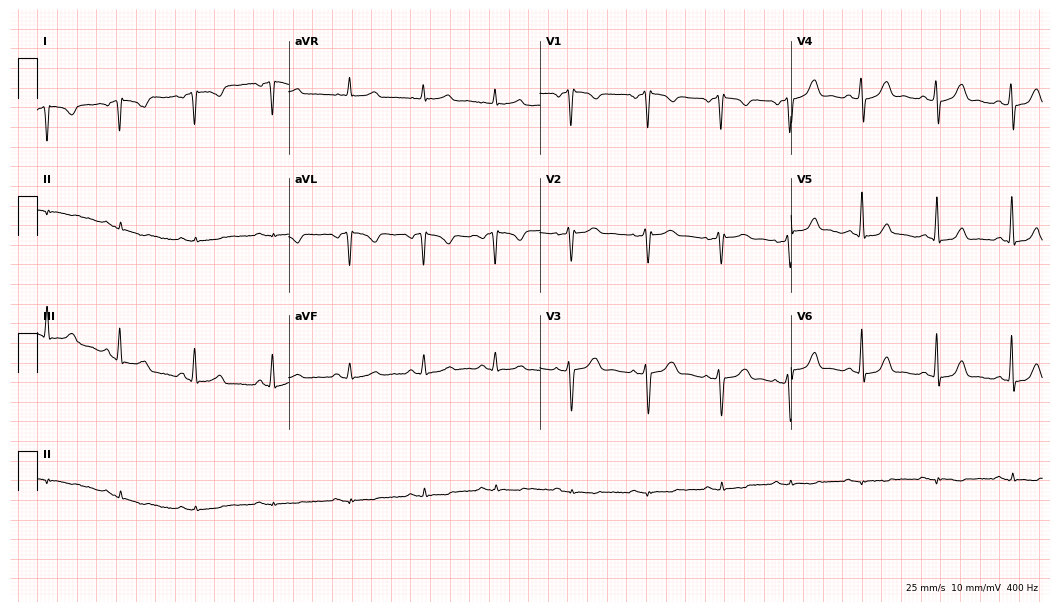
Resting 12-lead electrocardiogram (10.2-second recording at 400 Hz). Patient: a 39-year-old woman. None of these six findings is recorded: first-degree AV block, right bundle branch block, left bundle branch block, sinus bradycardia, atrial fibrillation, sinus tachycardia.